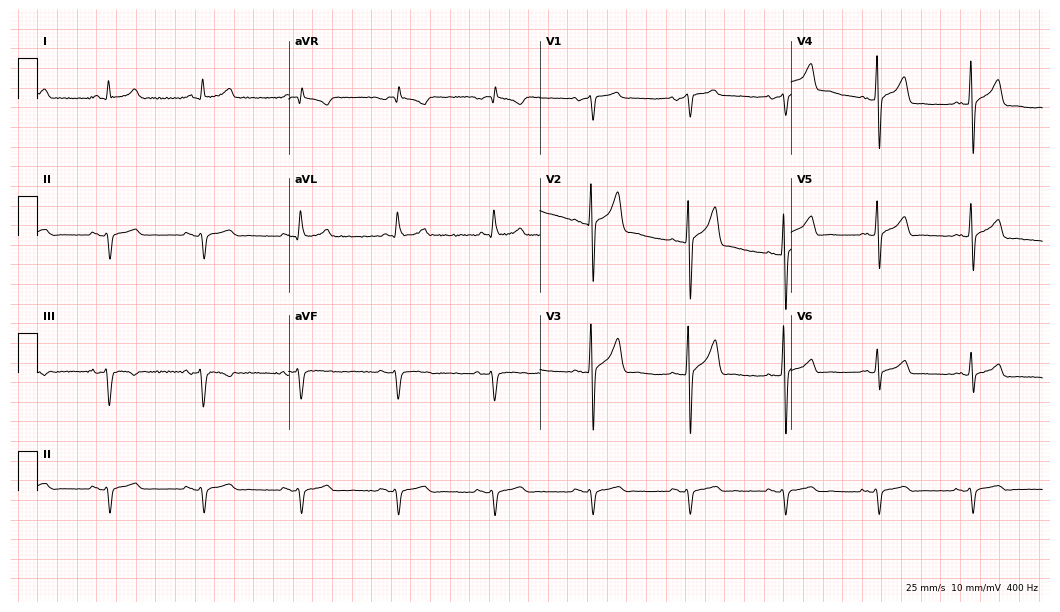
Standard 12-lead ECG recorded from a 49-year-old man (10.2-second recording at 400 Hz). None of these six findings is recorded: first-degree AV block, right bundle branch block, left bundle branch block, sinus bradycardia, atrial fibrillation, sinus tachycardia.